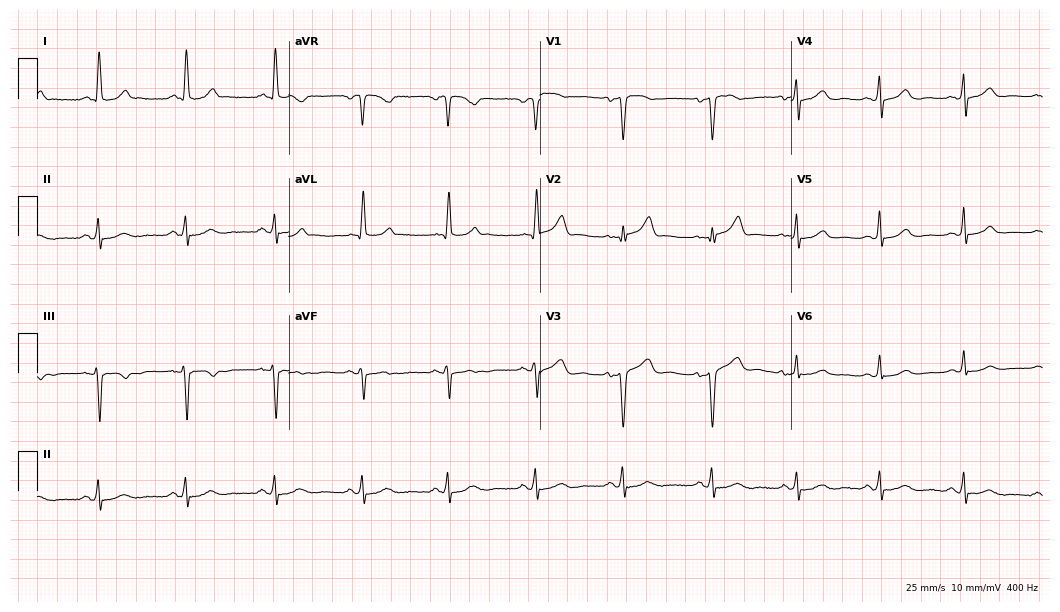
Resting 12-lead electrocardiogram. Patient: a 57-year-old female. None of these six findings is recorded: first-degree AV block, right bundle branch block (RBBB), left bundle branch block (LBBB), sinus bradycardia, atrial fibrillation (AF), sinus tachycardia.